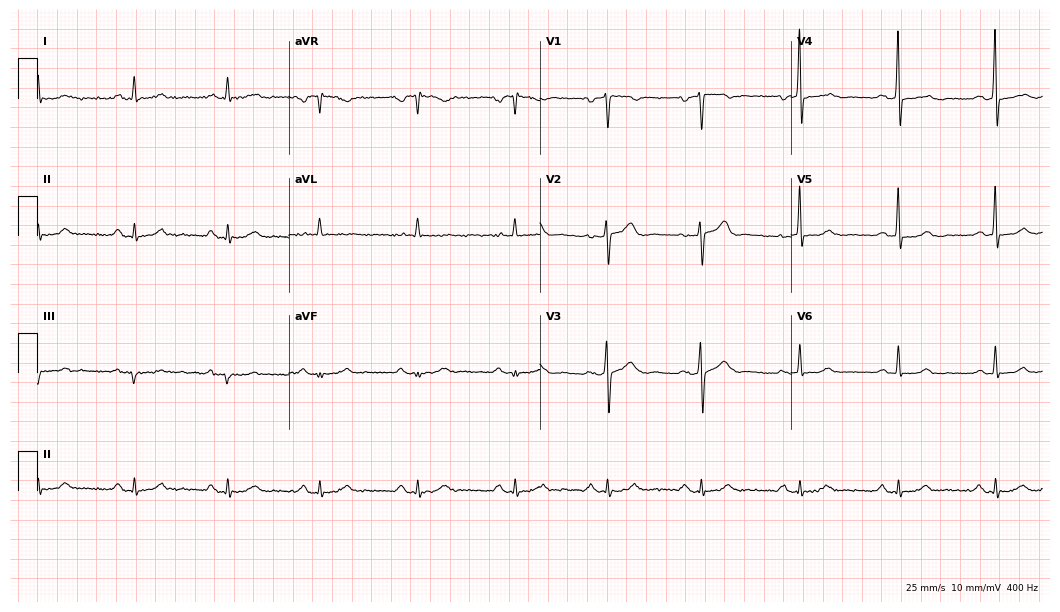
Standard 12-lead ECG recorded from a 51-year-old male patient (10.2-second recording at 400 Hz). None of these six findings is recorded: first-degree AV block, right bundle branch block (RBBB), left bundle branch block (LBBB), sinus bradycardia, atrial fibrillation (AF), sinus tachycardia. Other findings, if any, are not listed.